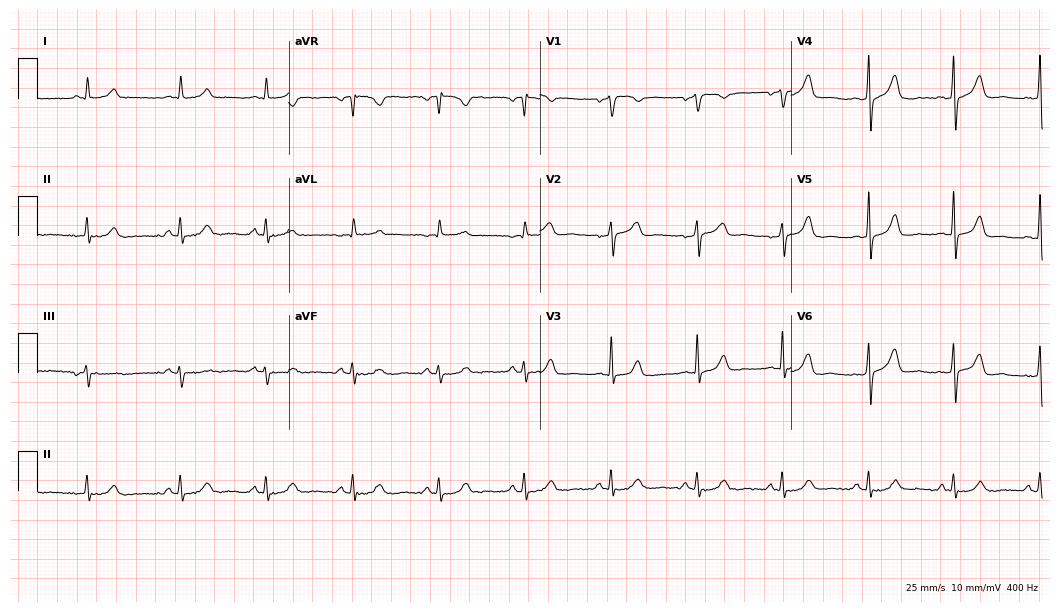
ECG — a 59-year-old female. Labelled as a normal ECG.